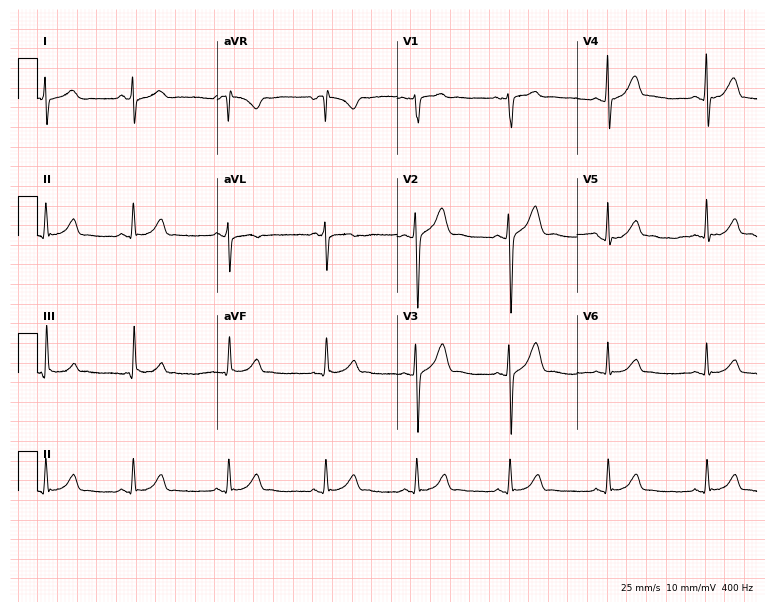
12-lead ECG from a 30-year-old male (7.3-second recording at 400 Hz). Recorded interpretation: within normal limits.